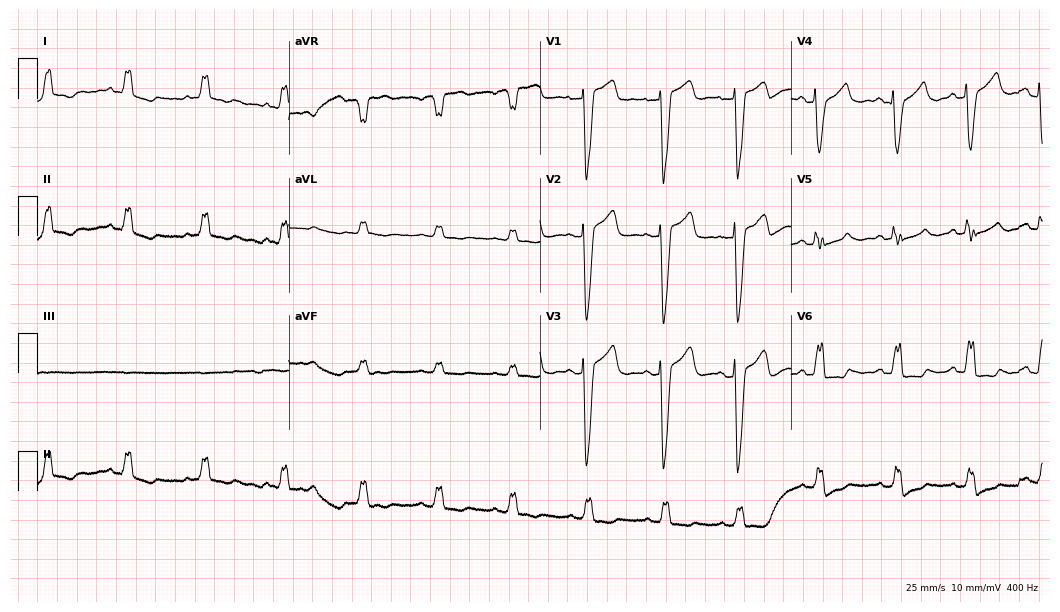
12-lead ECG from a female patient, 72 years old (10.2-second recording at 400 Hz). Shows left bundle branch block.